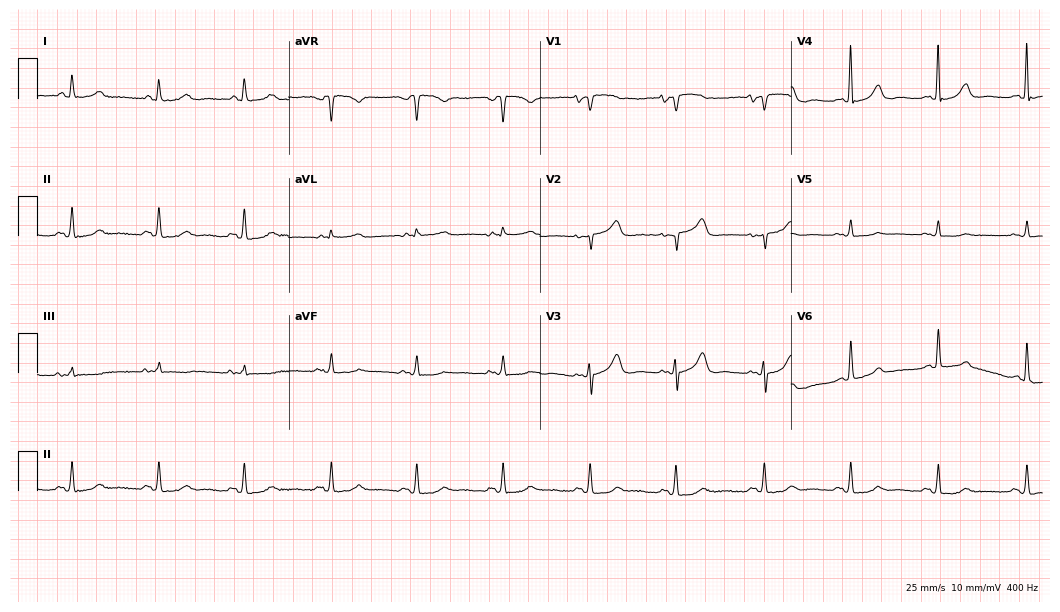
Standard 12-lead ECG recorded from a female, 75 years old. Read as a normal ECG.